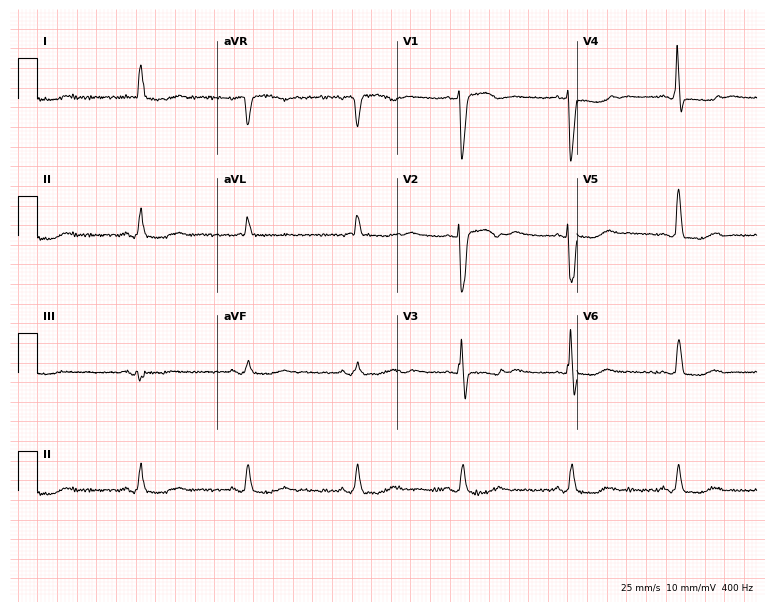
12-lead ECG from an 81-year-old female patient. Findings include left bundle branch block.